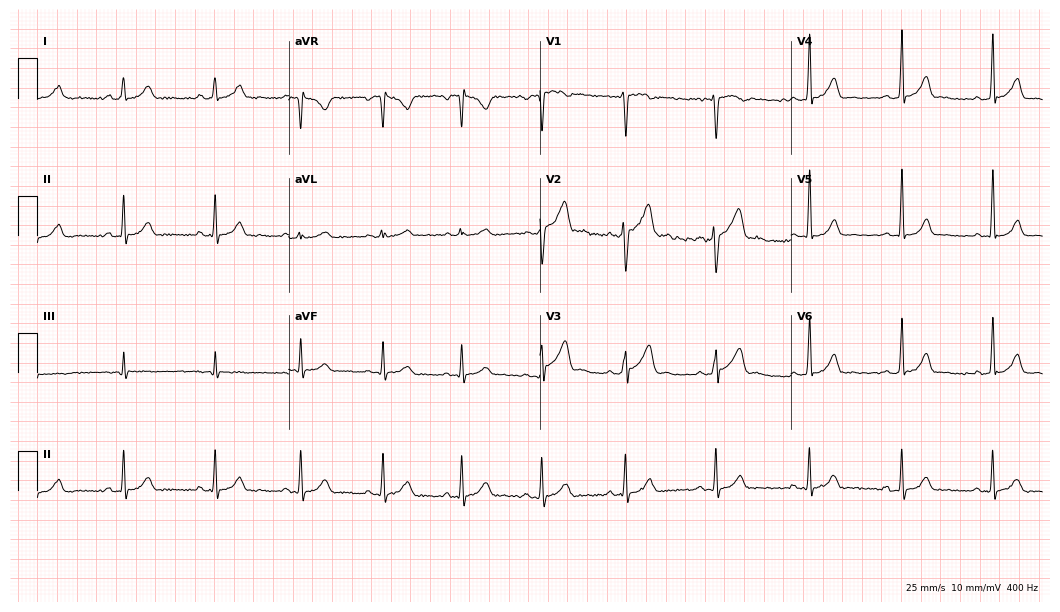
Resting 12-lead electrocardiogram (10.2-second recording at 400 Hz). Patient: a male, 31 years old. Read as a normal ECG.